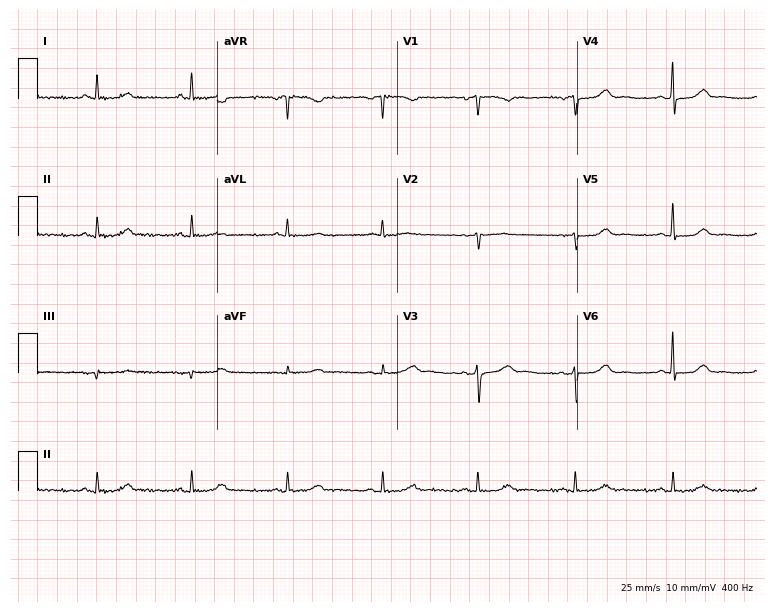
ECG — a female patient, 60 years old. Labelled as a normal ECG.